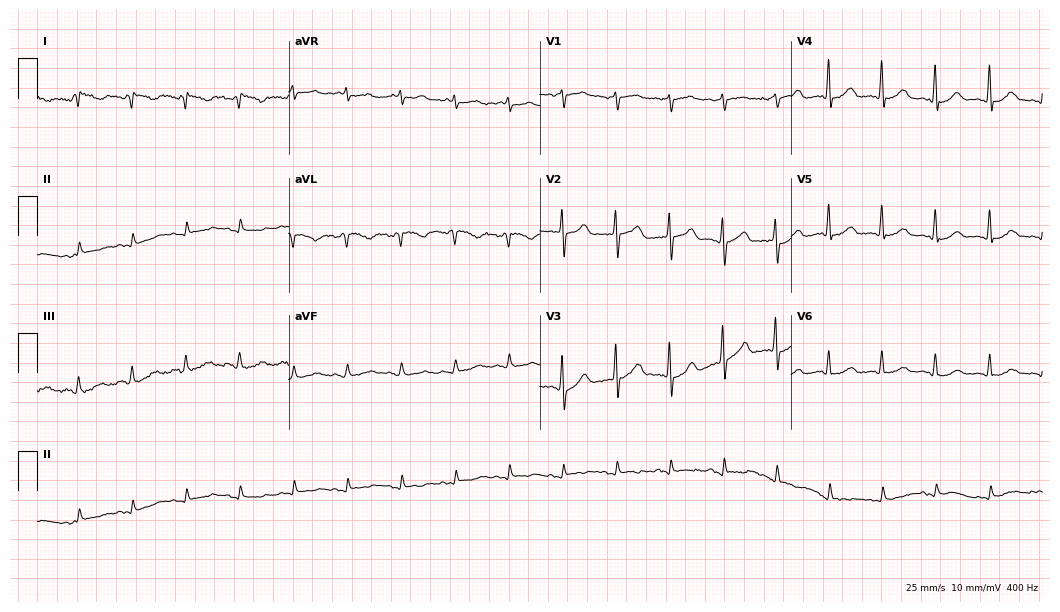
ECG — a woman, 64 years old. Screened for six findings — first-degree AV block, right bundle branch block (RBBB), left bundle branch block (LBBB), sinus bradycardia, atrial fibrillation (AF), sinus tachycardia — none is recorded. Only these six findings were labelled.